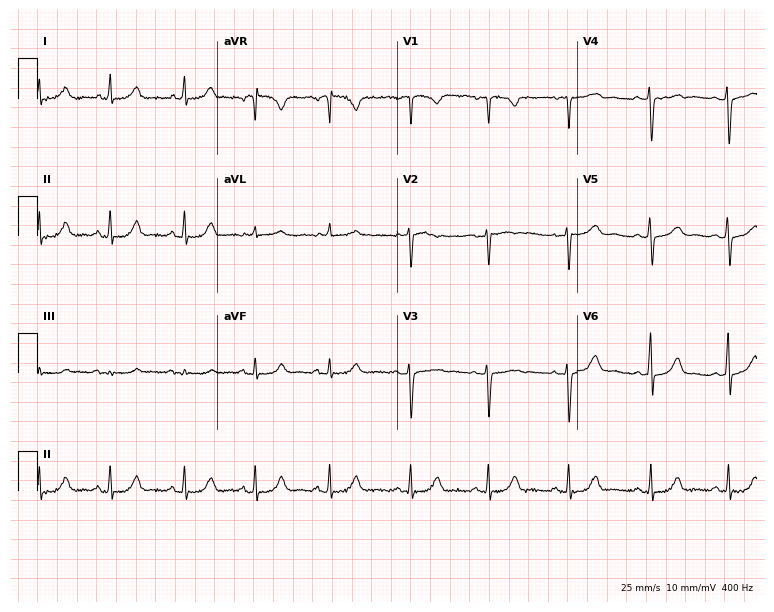
12-lead ECG from a female patient, 37 years old. Labelled as a normal ECG.